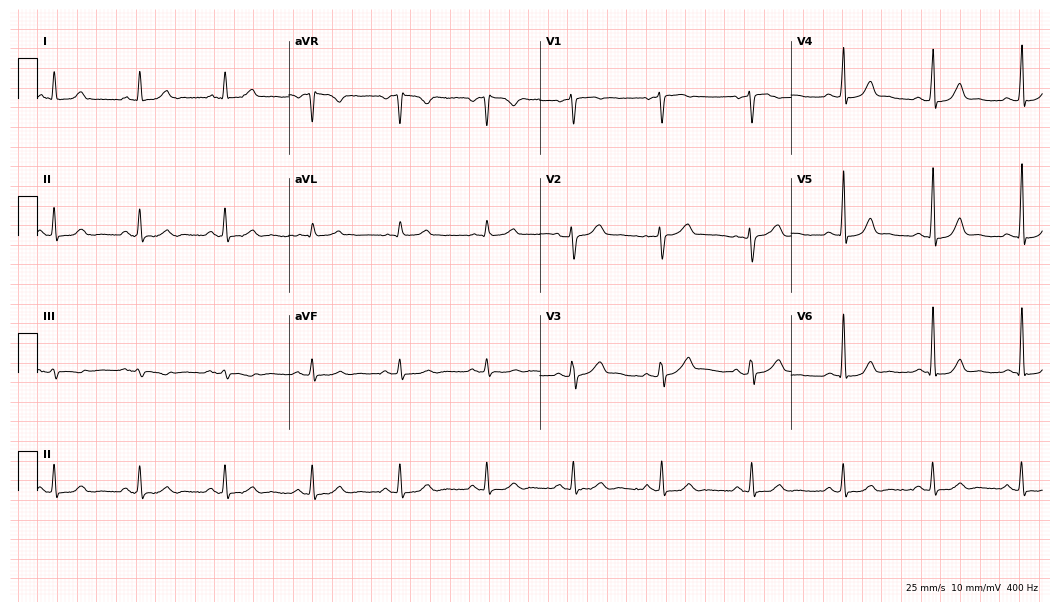
12-lead ECG from a 61-year-old man. Labelled as a normal ECG.